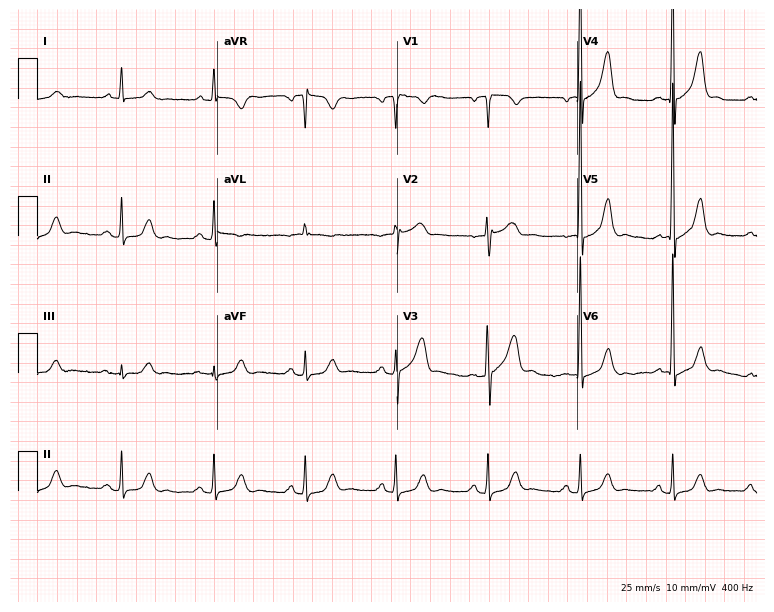
12-lead ECG from a male, 69 years old. Screened for six findings — first-degree AV block, right bundle branch block, left bundle branch block, sinus bradycardia, atrial fibrillation, sinus tachycardia — none is recorded. Only these six findings were labelled.